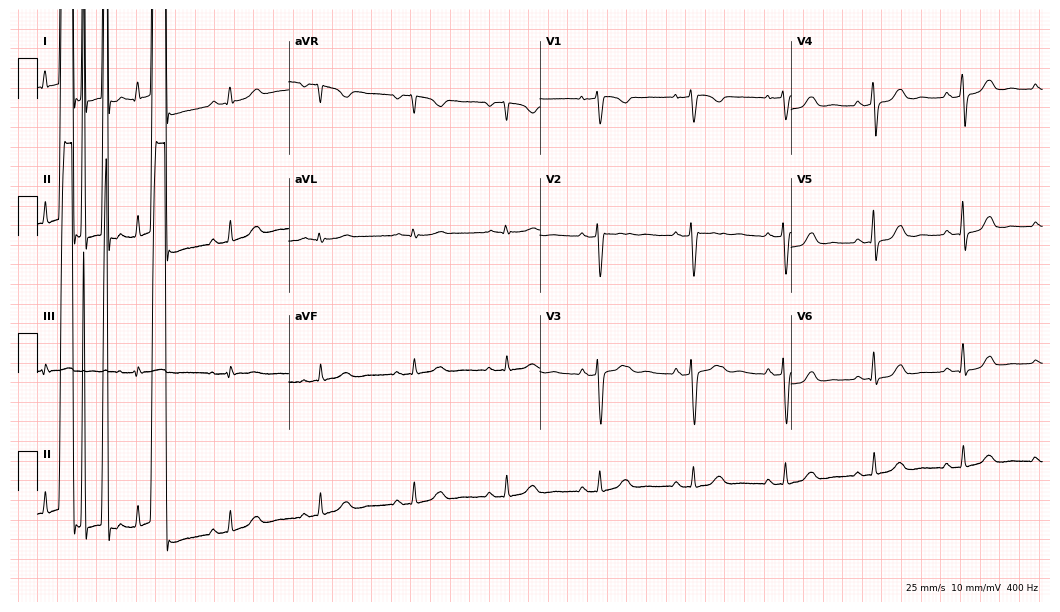
ECG (10.2-second recording at 400 Hz) — a female, 50 years old. Screened for six findings — first-degree AV block, right bundle branch block (RBBB), left bundle branch block (LBBB), sinus bradycardia, atrial fibrillation (AF), sinus tachycardia — none is recorded. Only these six findings were labelled.